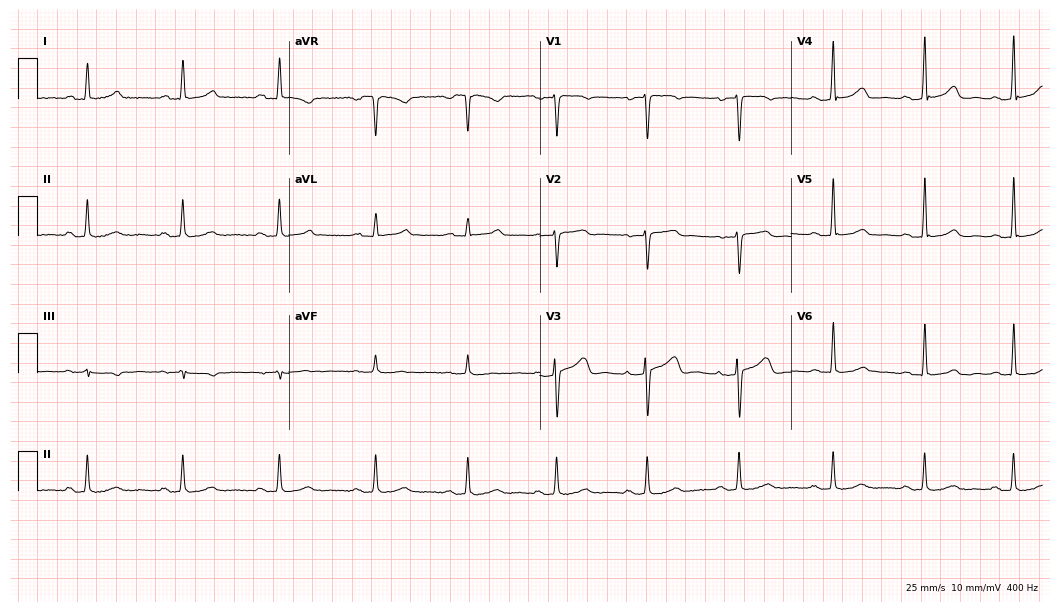
ECG — a 45-year-old female. Labelled as a normal ECG.